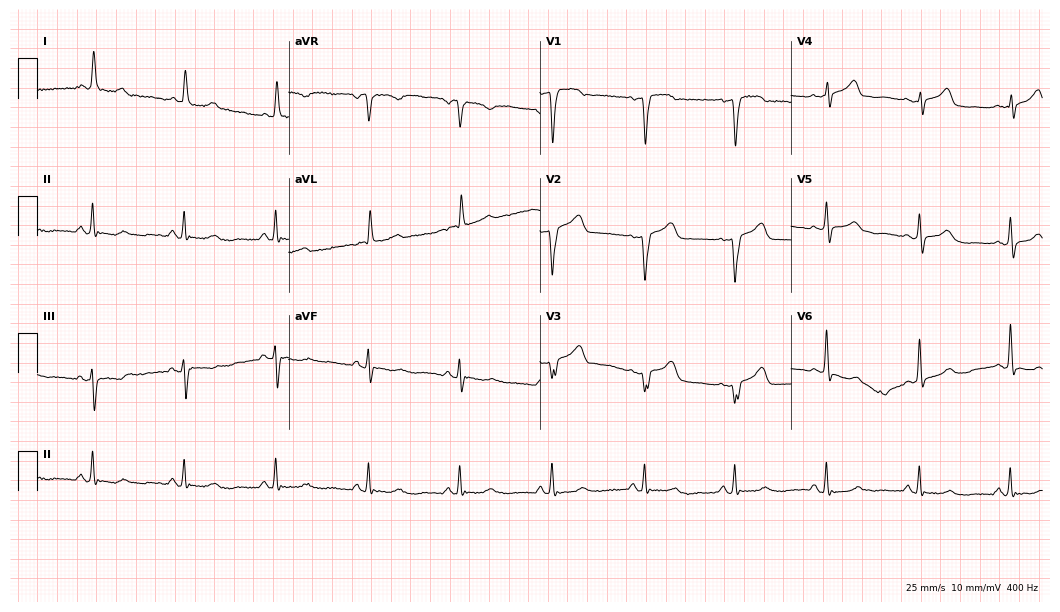
12-lead ECG (10.2-second recording at 400 Hz) from a female patient, 74 years old. Labelled as a normal ECG.